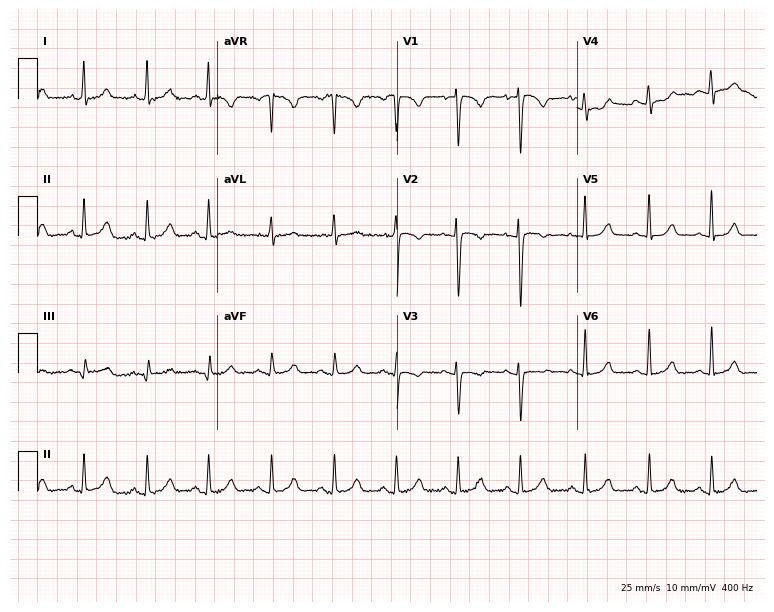
Electrocardiogram, a female patient, 28 years old. Overall reading on record: normal ECG.